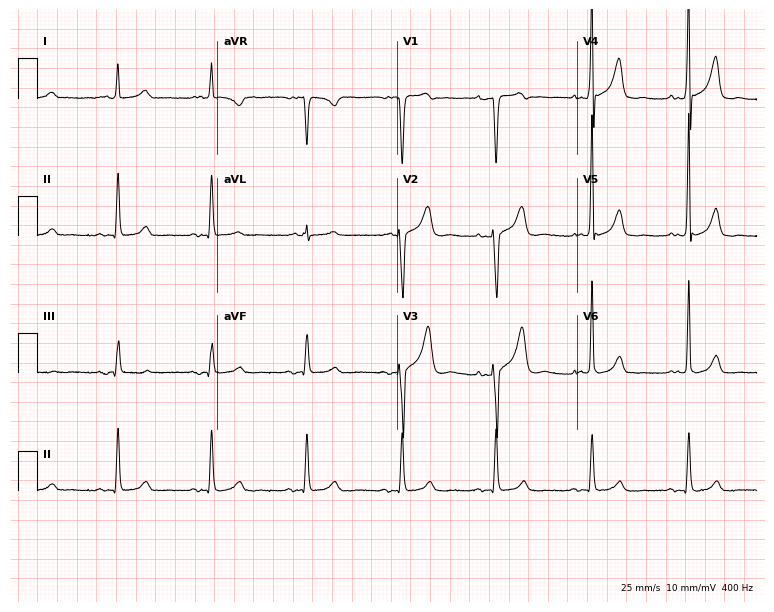
ECG (7.3-second recording at 400 Hz) — a male, 65 years old. Screened for six findings — first-degree AV block, right bundle branch block, left bundle branch block, sinus bradycardia, atrial fibrillation, sinus tachycardia — none is recorded. Other findings, if any, are not listed.